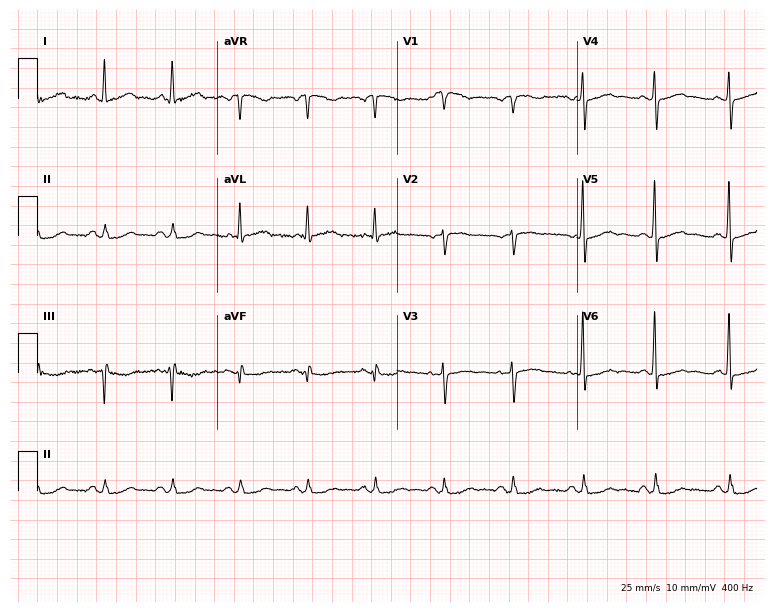
12-lead ECG from a female patient, 64 years old. Screened for six findings — first-degree AV block, right bundle branch block, left bundle branch block, sinus bradycardia, atrial fibrillation, sinus tachycardia — none is recorded.